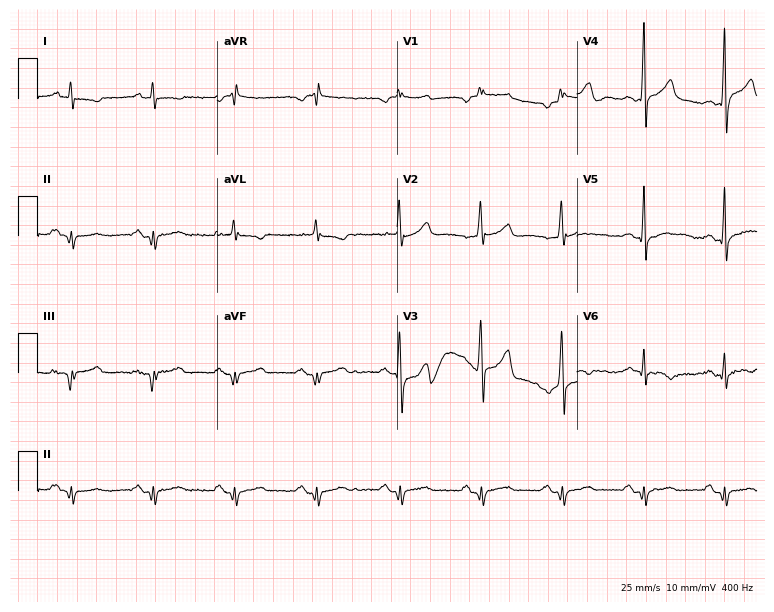
12-lead ECG from a 53-year-old male. Screened for six findings — first-degree AV block, right bundle branch block (RBBB), left bundle branch block (LBBB), sinus bradycardia, atrial fibrillation (AF), sinus tachycardia — none is recorded. Only these six findings were labelled.